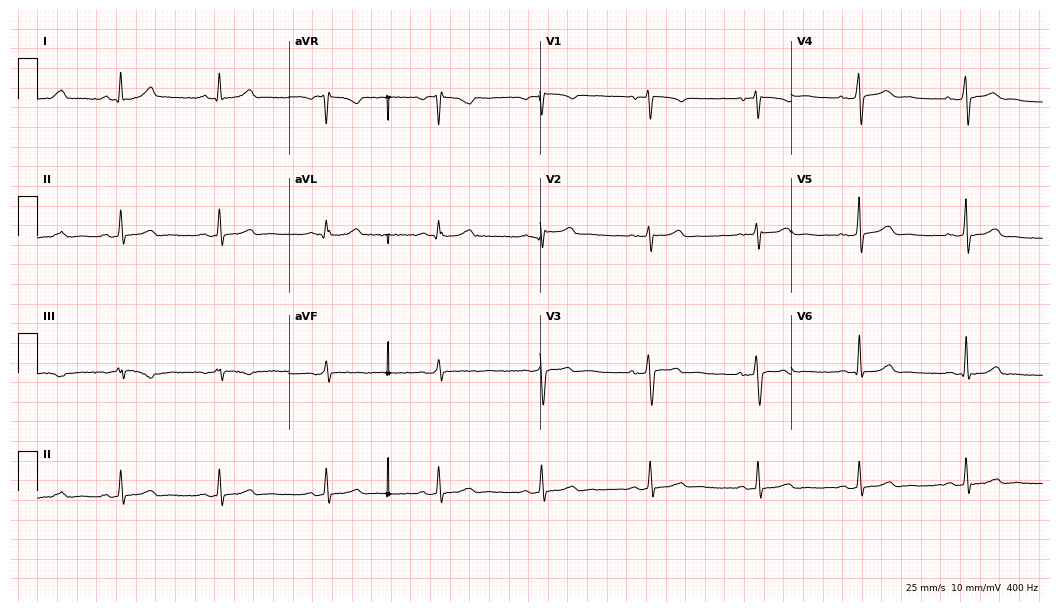
12-lead ECG from a 36-year-old female. Recorded interpretation: within normal limits.